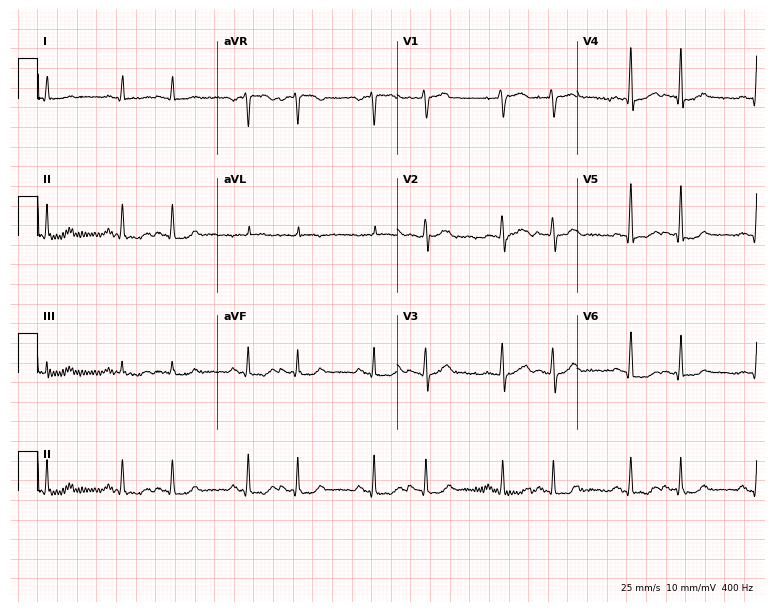
Standard 12-lead ECG recorded from an 81-year-old man (7.3-second recording at 400 Hz). None of these six findings is recorded: first-degree AV block, right bundle branch block, left bundle branch block, sinus bradycardia, atrial fibrillation, sinus tachycardia.